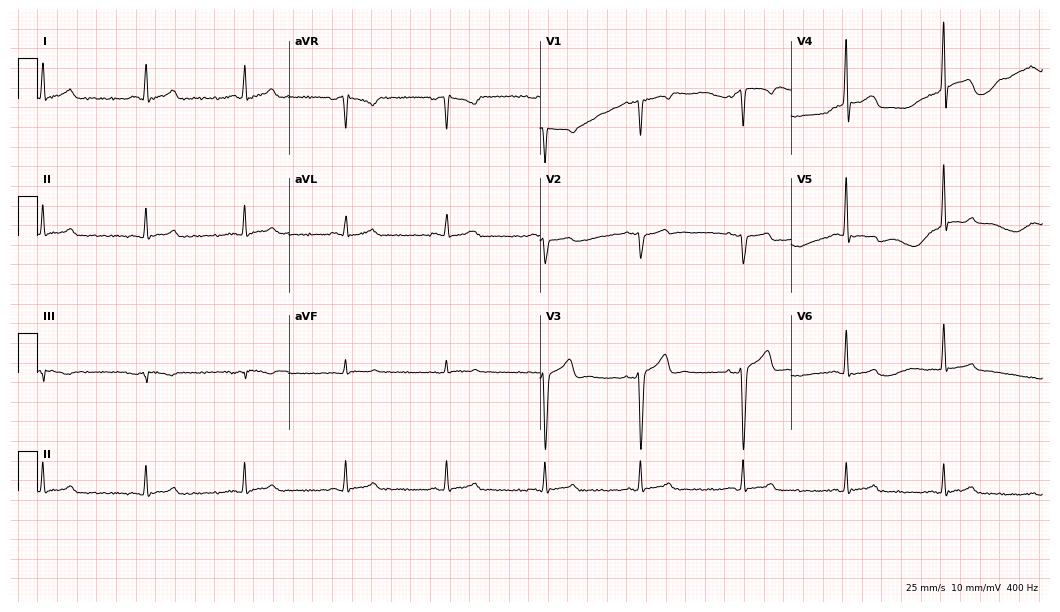
ECG (10.2-second recording at 400 Hz) — a 24-year-old male patient. Labelled as a normal ECG.